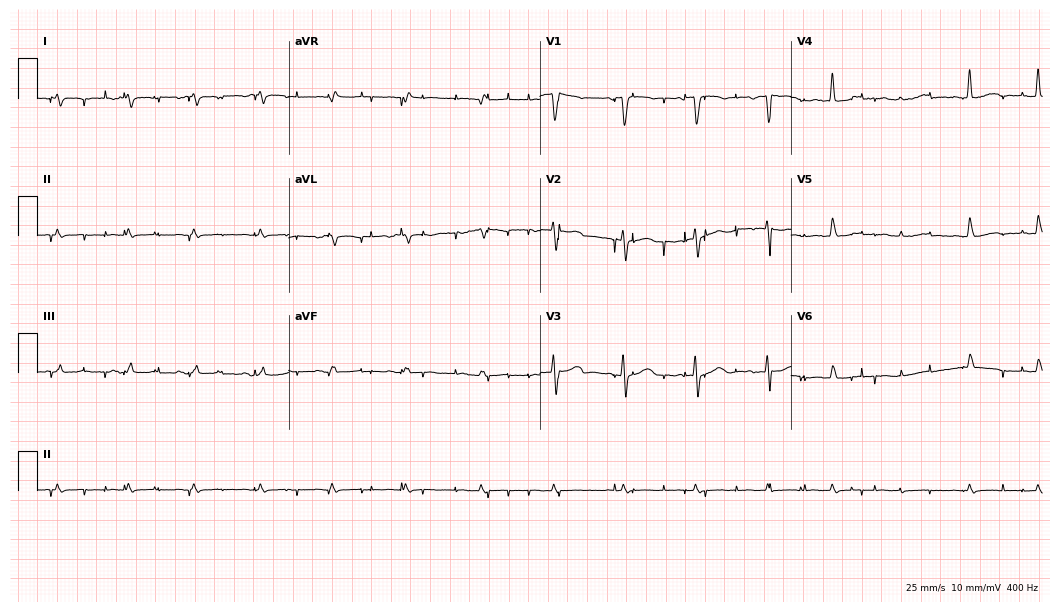
Standard 12-lead ECG recorded from a female patient, 73 years old (10.2-second recording at 400 Hz). None of these six findings is recorded: first-degree AV block, right bundle branch block (RBBB), left bundle branch block (LBBB), sinus bradycardia, atrial fibrillation (AF), sinus tachycardia. Only these six findings were labelled.